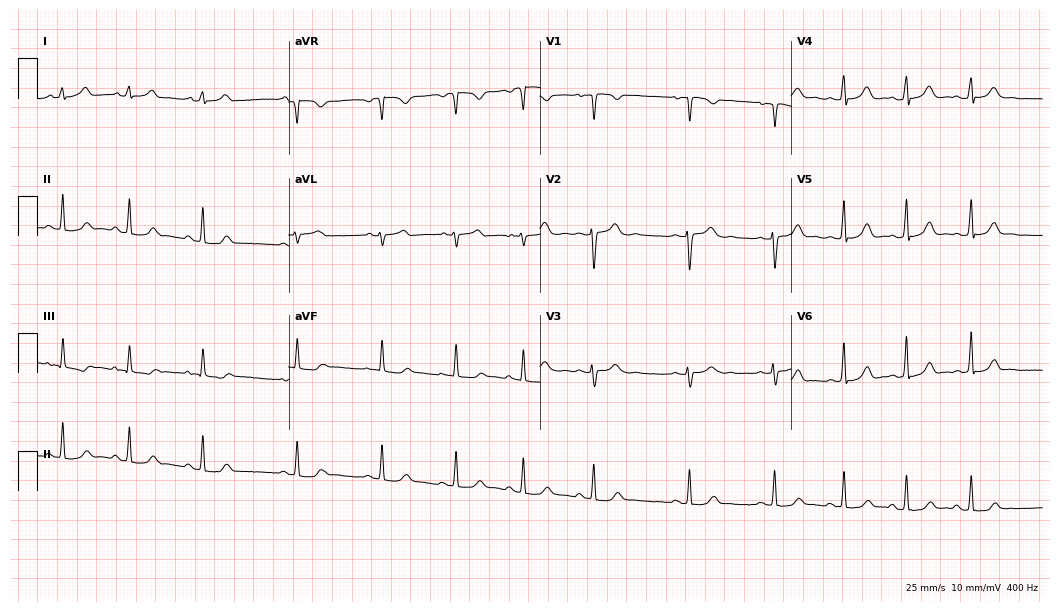
12-lead ECG from a 17-year-old female patient (10.2-second recording at 400 Hz). Recorded interpretation: within normal limits.